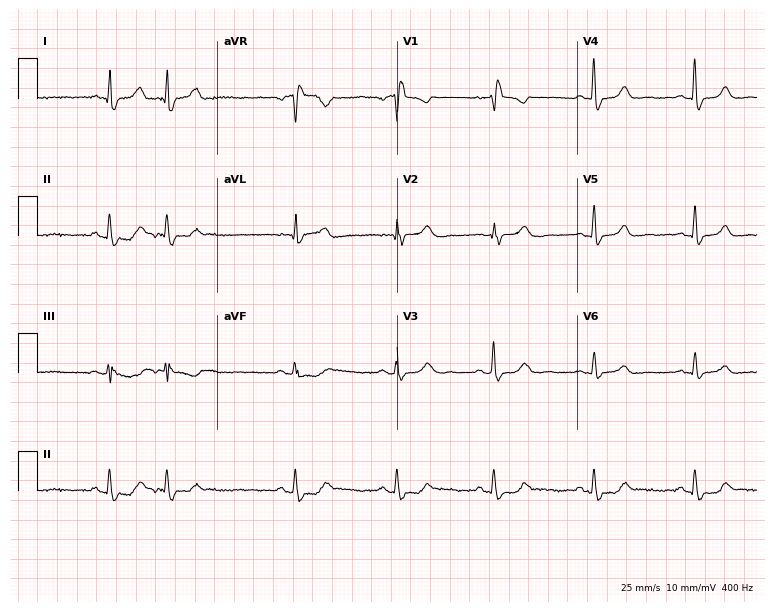
Resting 12-lead electrocardiogram (7.3-second recording at 400 Hz). Patient: a 59-year-old female. None of these six findings is recorded: first-degree AV block, right bundle branch block (RBBB), left bundle branch block (LBBB), sinus bradycardia, atrial fibrillation (AF), sinus tachycardia.